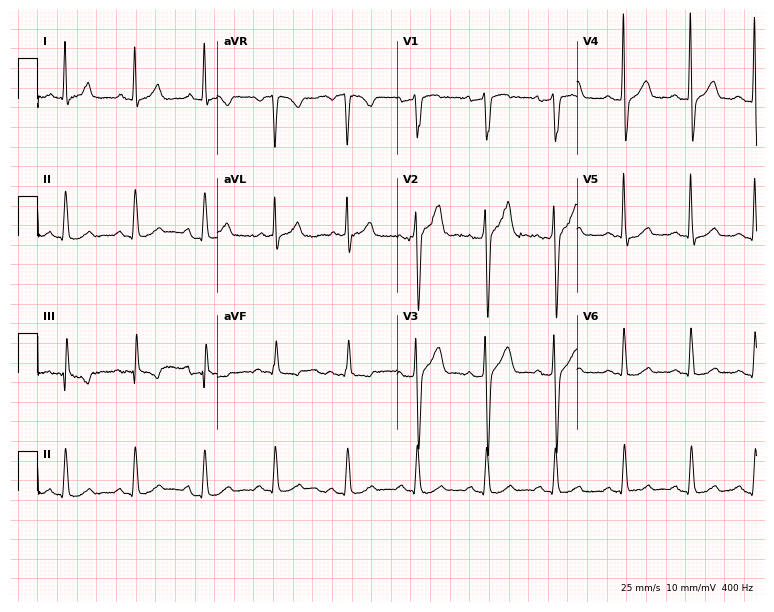
Standard 12-lead ECG recorded from a female, 51 years old (7.3-second recording at 400 Hz). None of these six findings is recorded: first-degree AV block, right bundle branch block, left bundle branch block, sinus bradycardia, atrial fibrillation, sinus tachycardia.